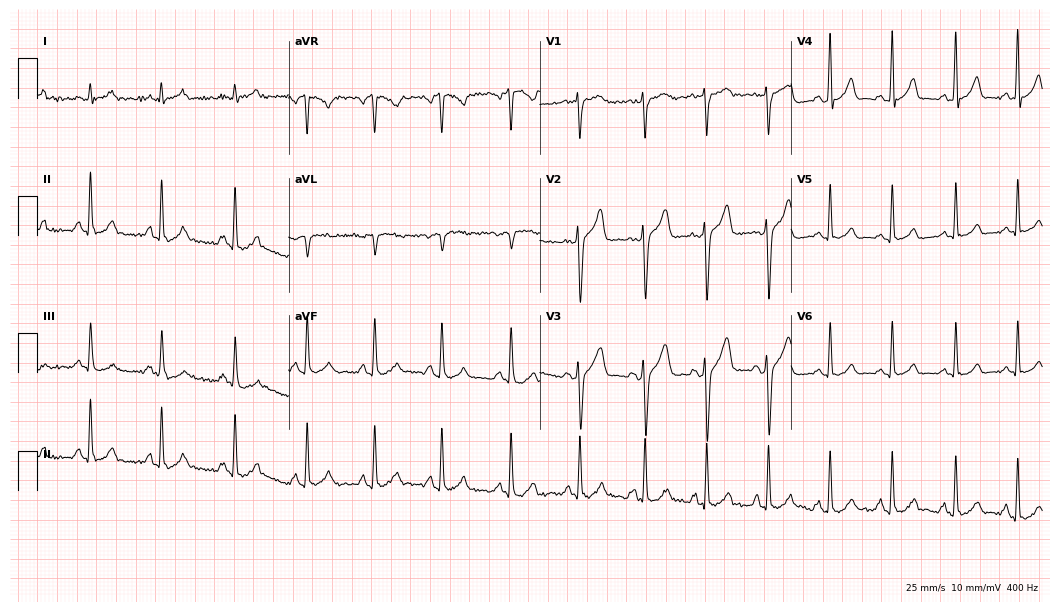
12-lead ECG from a 36-year-old male. Recorded interpretation: within normal limits.